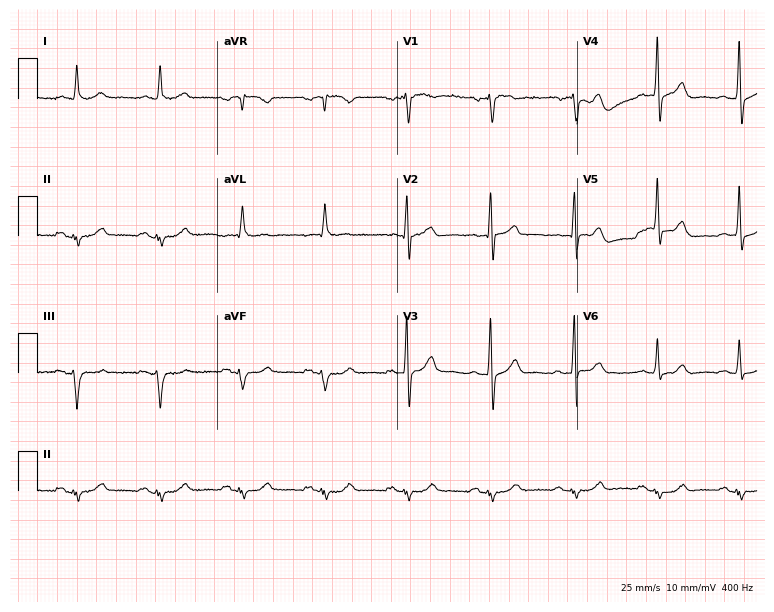
Electrocardiogram, a man, 65 years old. Of the six screened findings (first-degree AV block, right bundle branch block, left bundle branch block, sinus bradycardia, atrial fibrillation, sinus tachycardia), none is recorded. Findings outside these six are not listed.